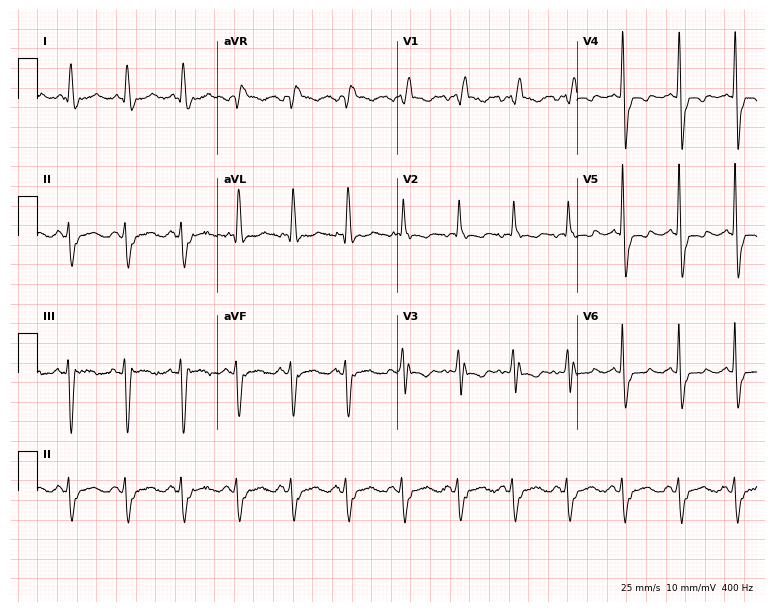
Resting 12-lead electrocardiogram (7.3-second recording at 400 Hz). Patient: an 83-year-old female. The tracing shows right bundle branch block (RBBB).